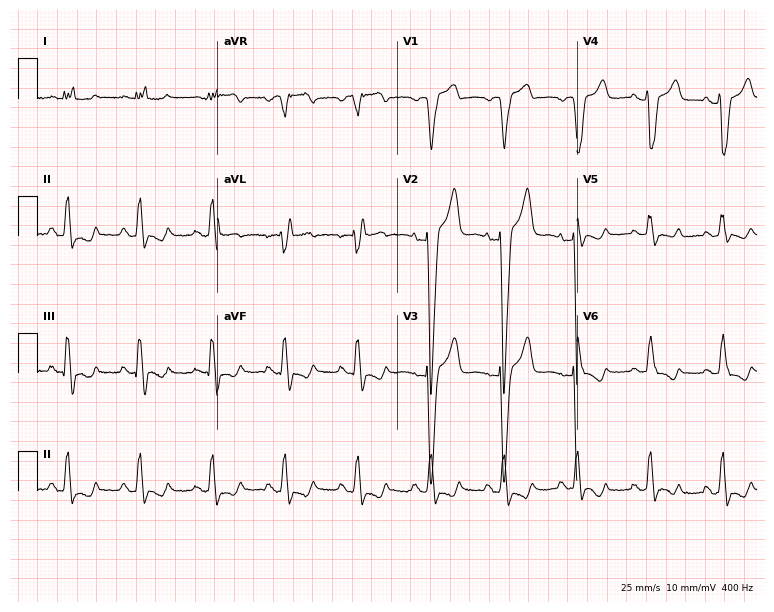
Standard 12-lead ECG recorded from a 58-year-old female (7.3-second recording at 400 Hz). None of these six findings is recorded: first-degree AV block, right bundle branch block, left bundle branch block, sinus bradycardia, atrial fibrillation, sinus tachycardia.